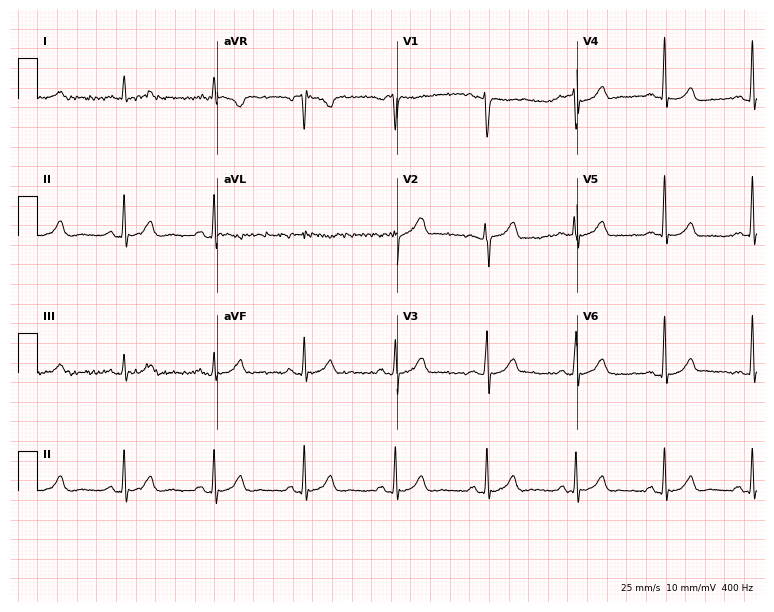
Standard 12-lead ECG recorded from a 50-year-old male patient (7.3-second recording at 400 Hz). Read as a normal ECG.